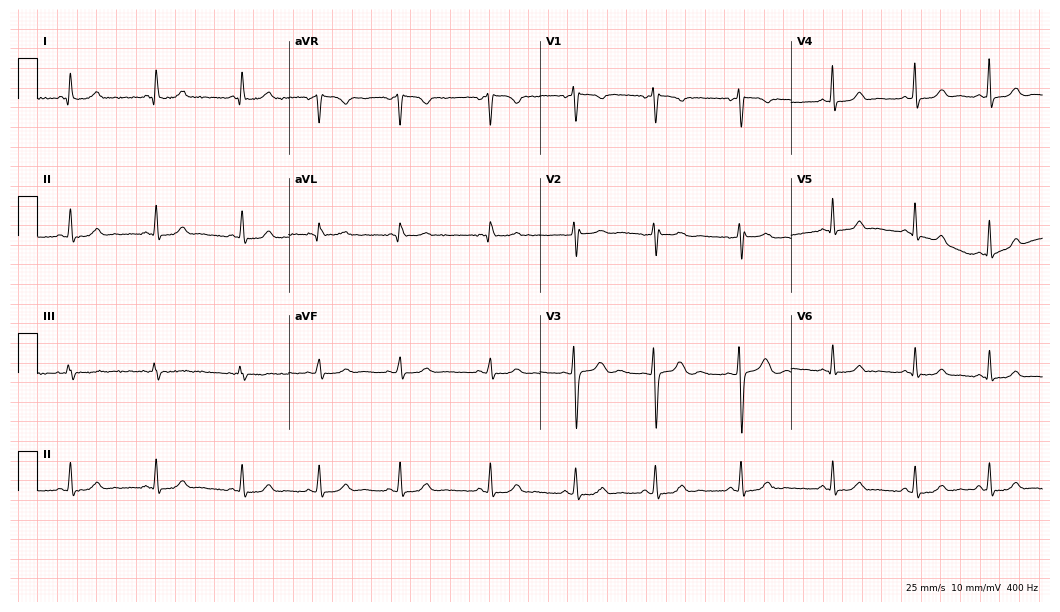
12-lead ECG from a female, 27 years old (10.2-second recording at 400 Hz). No first-degree AV block, right bundle branch block, left bundle branch block, sinus bradycardia, atrial fibrillation or sinus tachycardia recorded for this tracing.